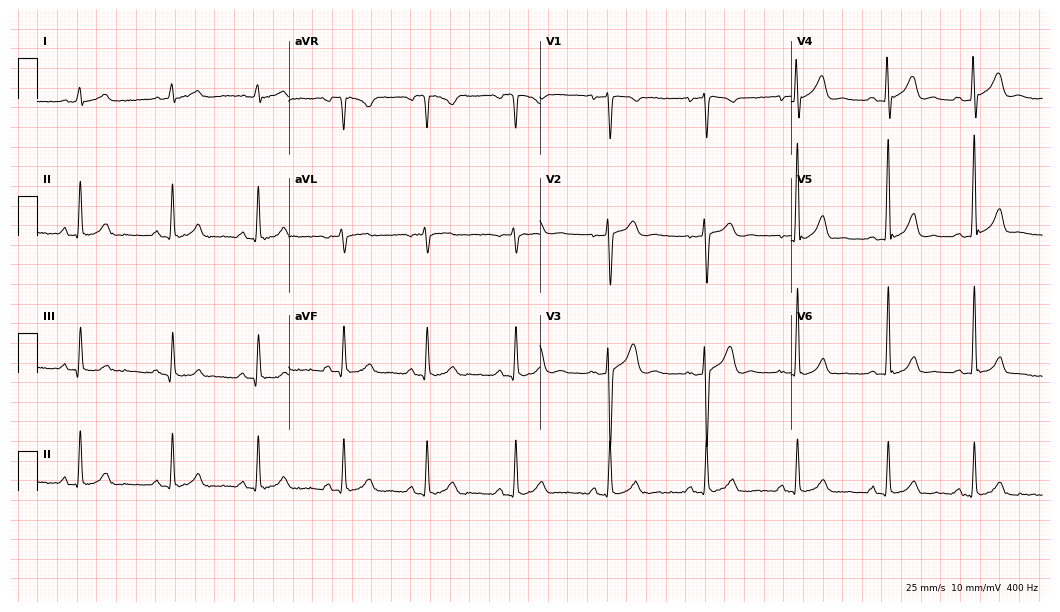
12-lead ECG from a 23-year-old male patient. Labelled as a normal ECG.